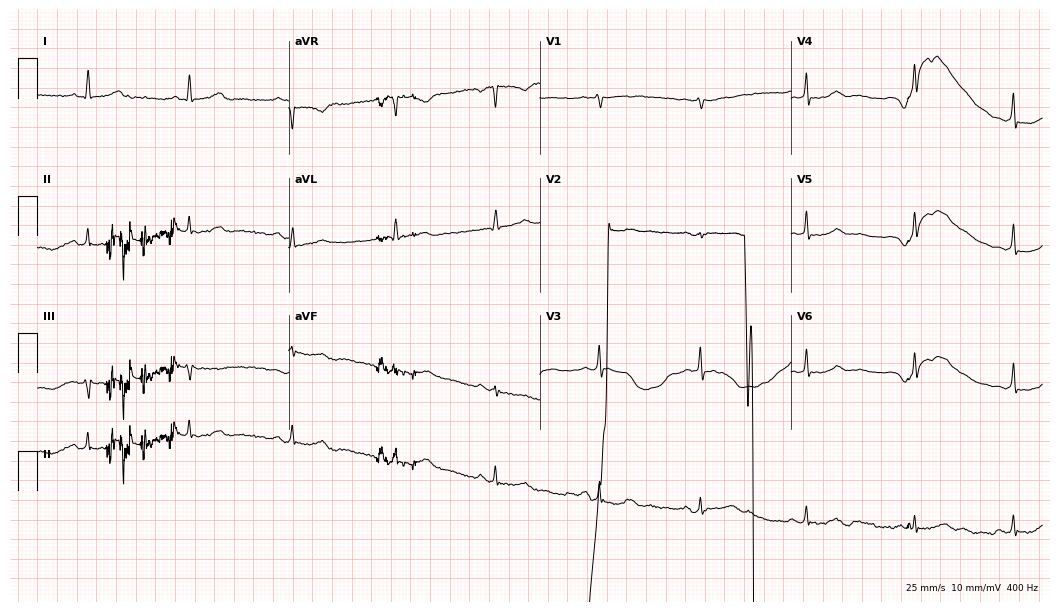
ECG (10.2-second recording at 400 Hz) — a female patient, 34 years old. Screened for six findings — first-degree AV block, right bundle branch block, left bundle branch block, sinus bradycardia, atrial fibrillation, sinus tachycardia — none is recorded.